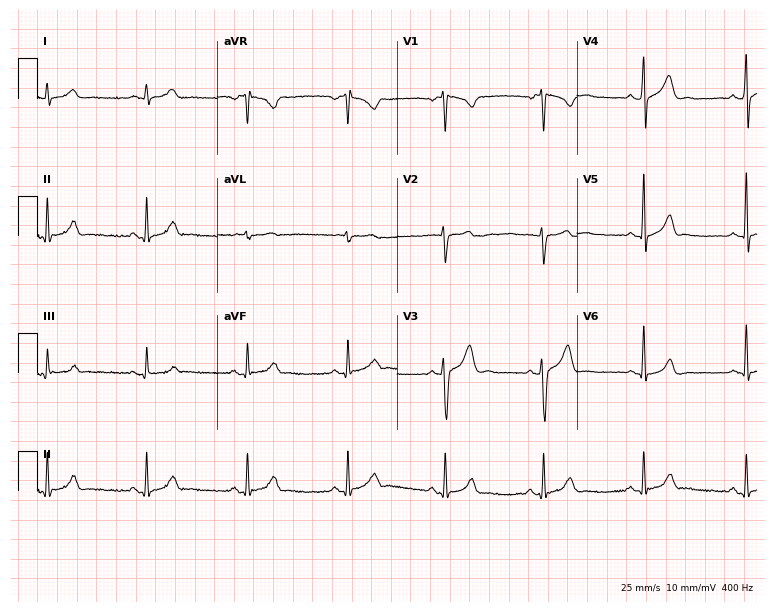
ECG — a 36-year-old man. Labelled as a normal ECG.